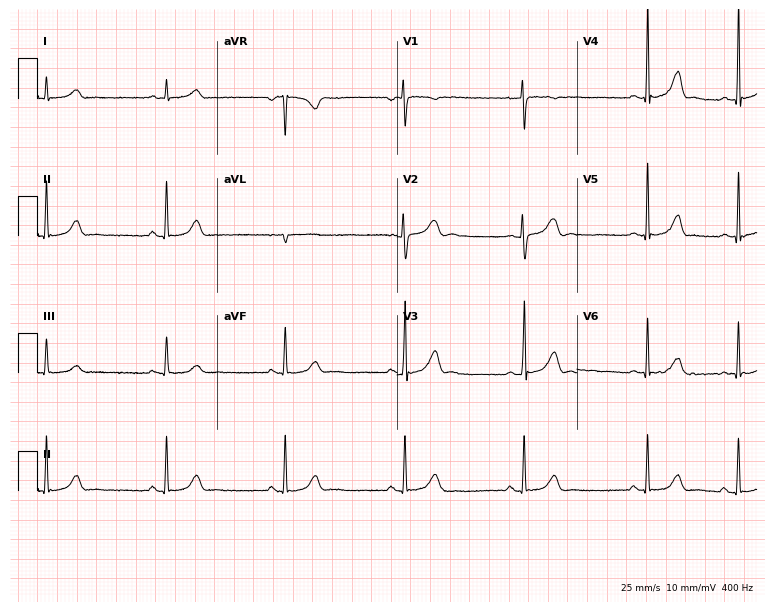
12-lead ECG from a female patient, 21 years old. No first-degree AV block, right bundle branch block, left bundle branch block, sinus bradycardia, atrial fibrillation or sinus tachycardia recorded for this tracing. Other findings, if any, are not listed.